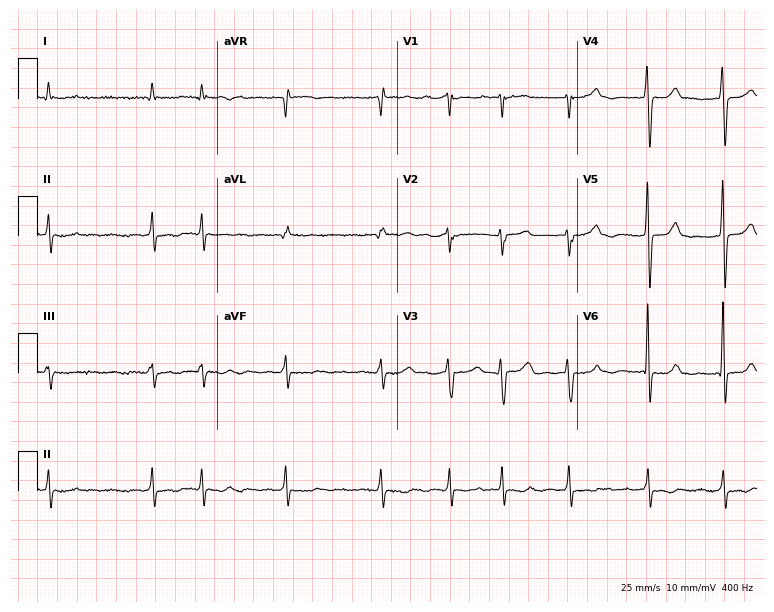
12-lead ECG from a male, 80 years old (7.3-second recording at 400 Hz). Shows atrial fibrillation (AF).